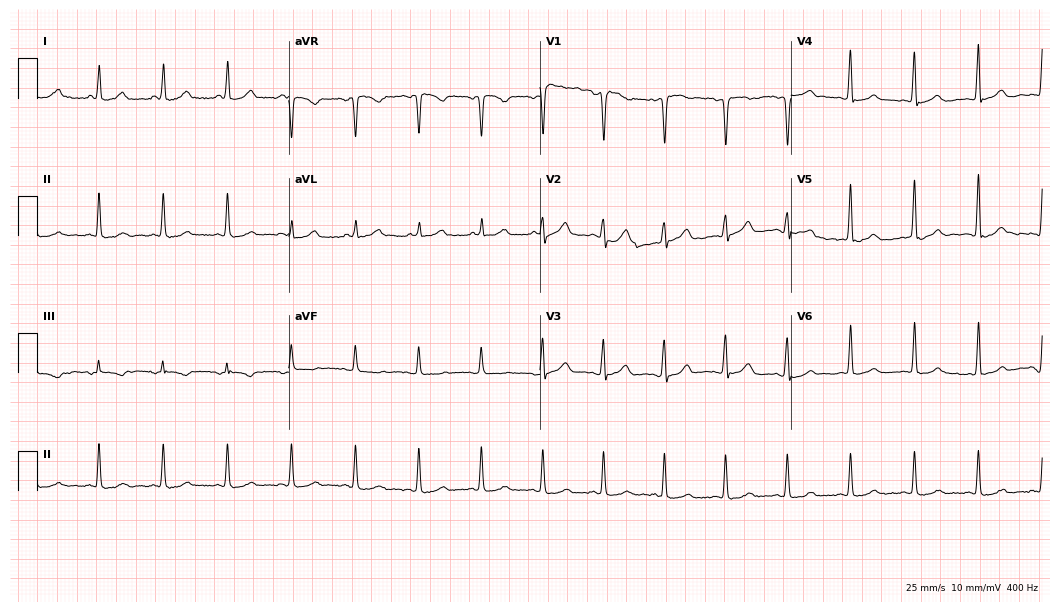
Standard 12-lead ECG recorded from a 46-year-old woman. None of these six findings is recorded: first-degree AV block, right bundle branch block (RBBB), left bundle branch block (LBBB), sinus bradycardia, atrial fibrillation (AF), sinus tachycardia.